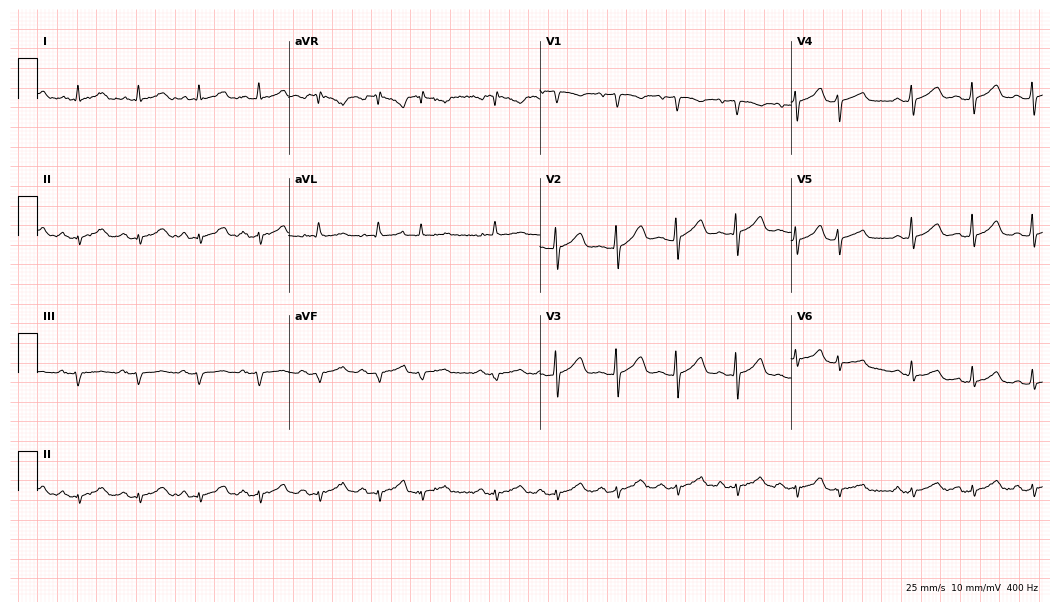
12-lead ECG (10.2-second recording at 400 Hz) from a female patient, 82 years old. Screened for six findings — first-degree AV block, right bundle branch block (RBBB), left bundle branch block (LBBB), sinus bradycardia, atrial fibrillation (AF), sinus tachycardia — none is recorded. Other findings, if any, are not listed.